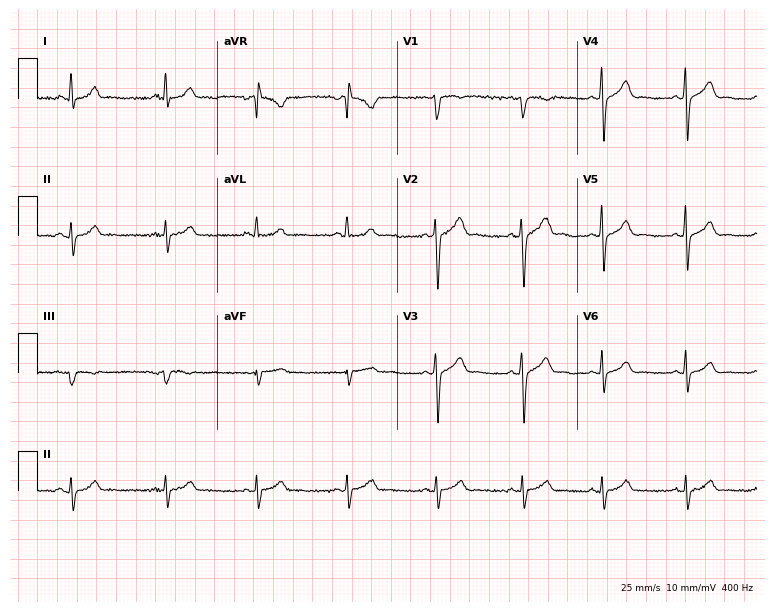
12-lead ECG from a male patient, 44 years old. No first-degree AV block, right bundle branch block, left bundle branch block, sinus bradycardia, atrial fibrillation or sinus tachycardia recorded for this tracing.